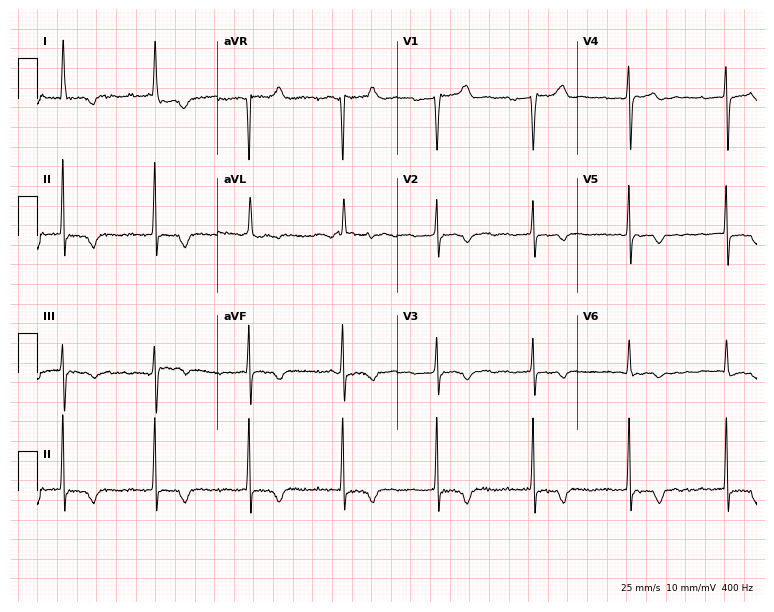
Resting 12-lead electrocardiogram (7.3-second recording at 400 Hz). Patient: a 71-year-old female. The tracing shows first-degree AV block.